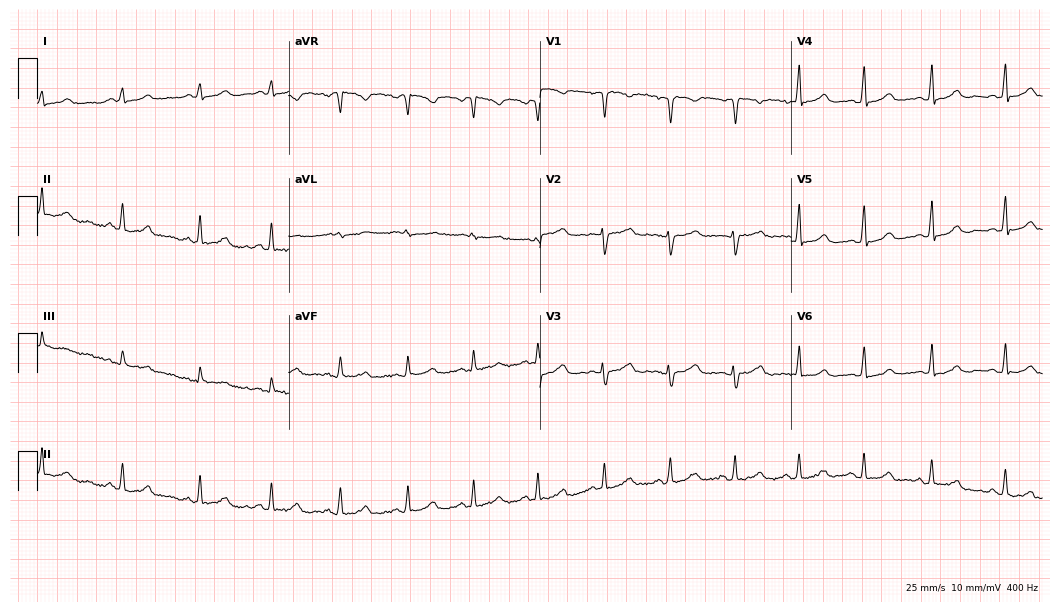
Electrocardiogram (10.2-second recording at 400 Hz), a female patient, 28 years old. Overall reading on record: normal ECG.